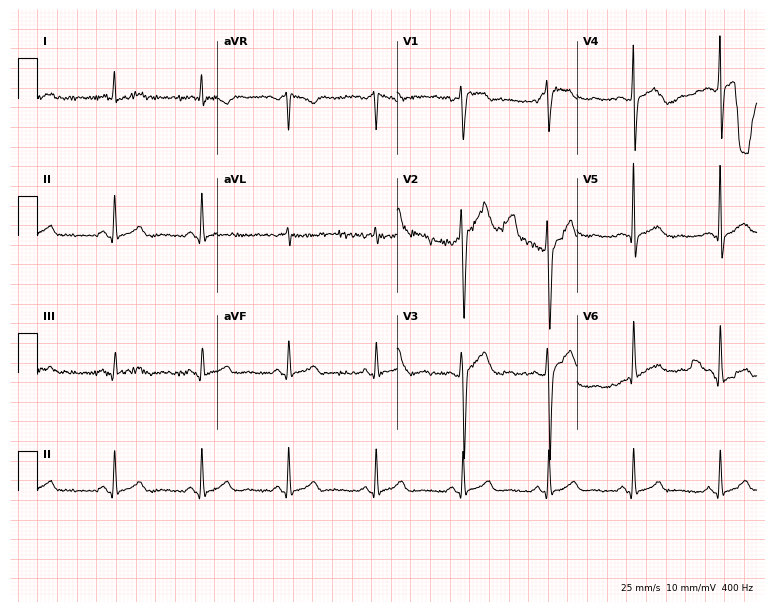
12-lead ECG from a 34-year-old man (7.3-second recording at 400 Hz). Recorded interpretation: within normal limits.